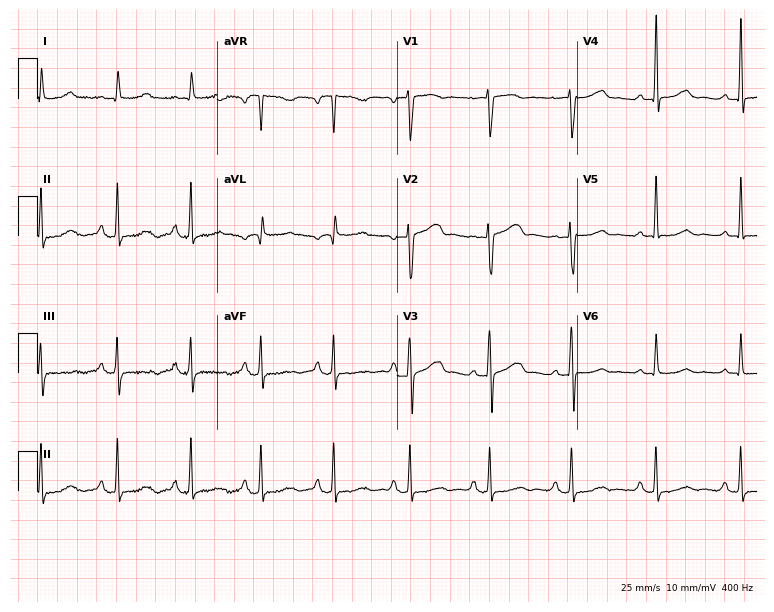
12-lead ECG from a woman, 67 years old (7.3-second recording at 400 Hz). Recorded interpretation: within normal limits.